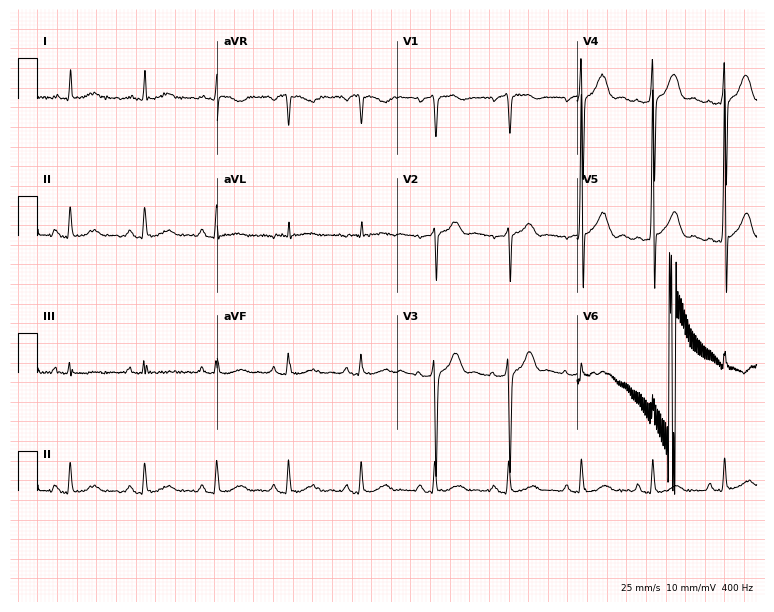
12-lead ECG from a 77-year-old male (7.3-second recording at 400 Hz). No first-degree AV block, right bundle branch block (RBBB), left bundle branch block (LBBB), sinus bradycardia, atrial fibrillation (AF) or sinus tachycardia recorded for this tracing. Other findings, if any, are not listed.